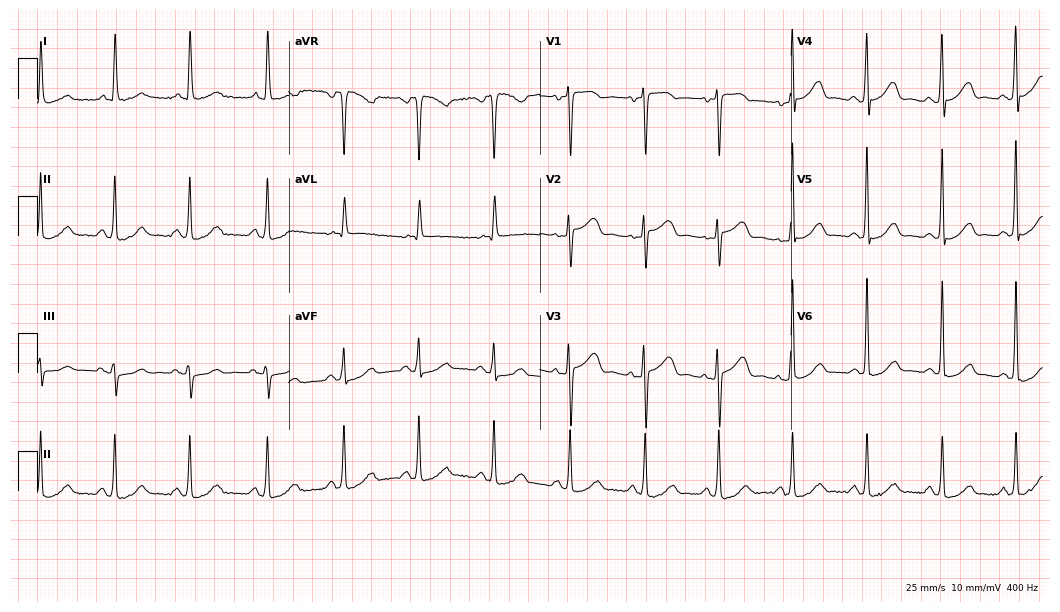
ECG — a female patient, 67 years old. Screened for six findings — first-degree AV block, right bundle branch block (RBBB), left bundle branch block (LBBB), sinus bradycardia, atrial fibrillation (AF), sinus tachycardia — none is recorded.